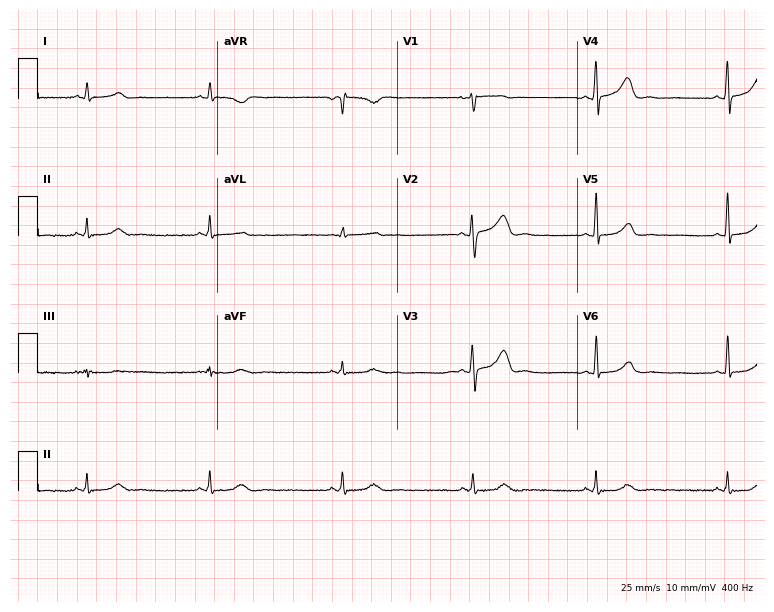
Standard 12-lead ECG recorded from a female patient, 42 years old (7.3-second recording at 400 Hz). The tracing shows sinus bradycardia (a sinus rate of 50 beats per minute or less).